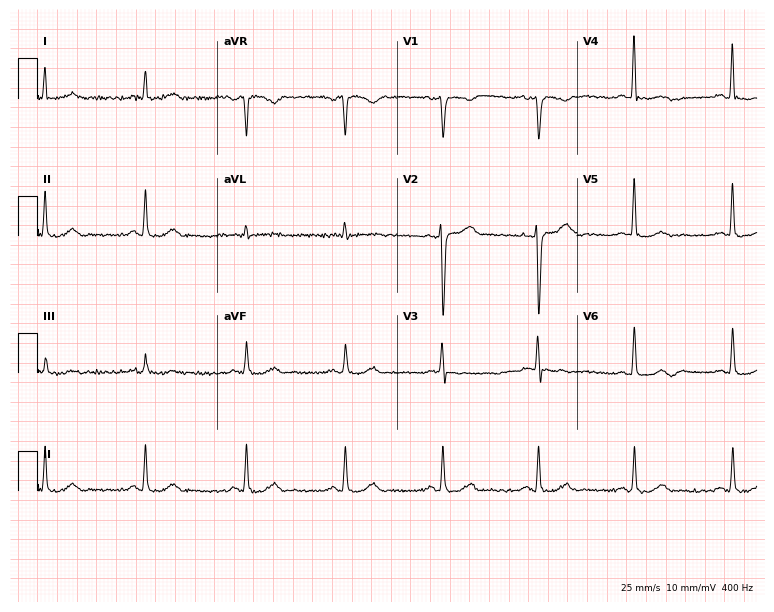
Resting 12-lead electrocardiogram (7.3-second recording at 400 Hz). Patient: a male, 51 years old. Read as a normal ECG.